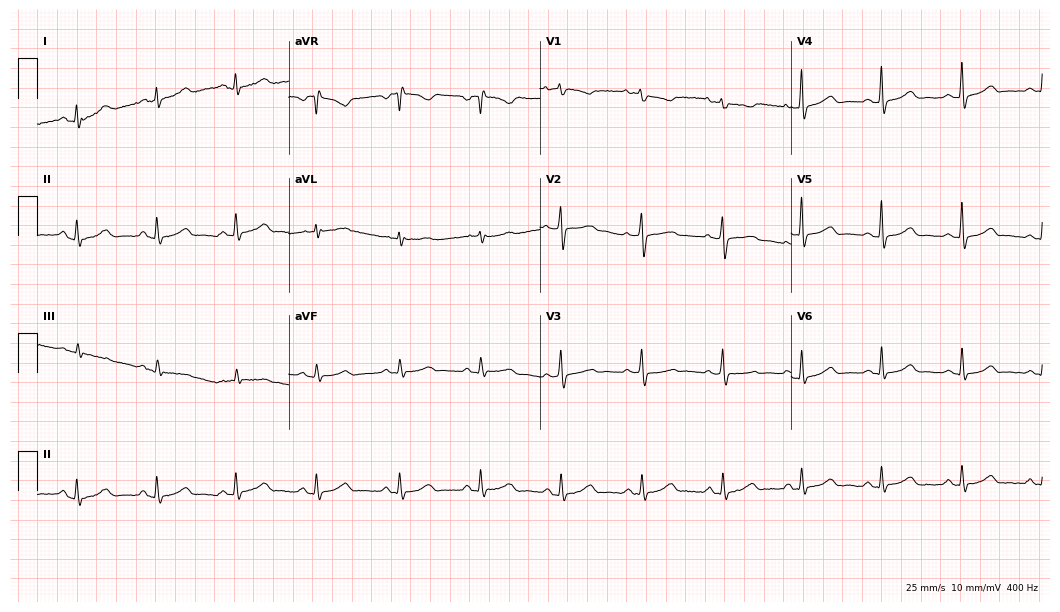
ECG (10.2-second recording at 400 Hz) — a 48-year-old female. Labelled as a normal ECG.